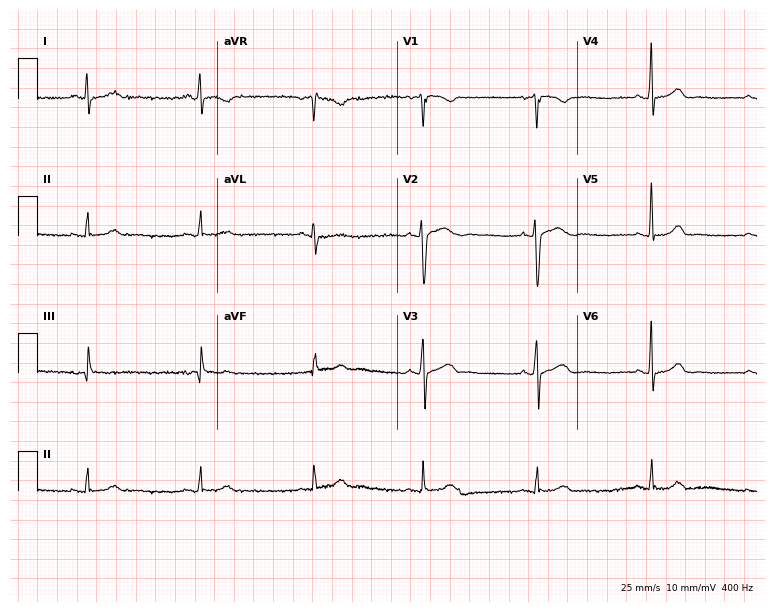
Standard 12-lead ECG recorded from a 27-year-old woman (7.3-second recording at 400 Hz). None of these six findings is recorded: first-degree AV block, right bundle branch block, left bundle branch block, sinus bradycardia, atrial fibrillation, sinus tachycardia. Findings outside these six are not listed.